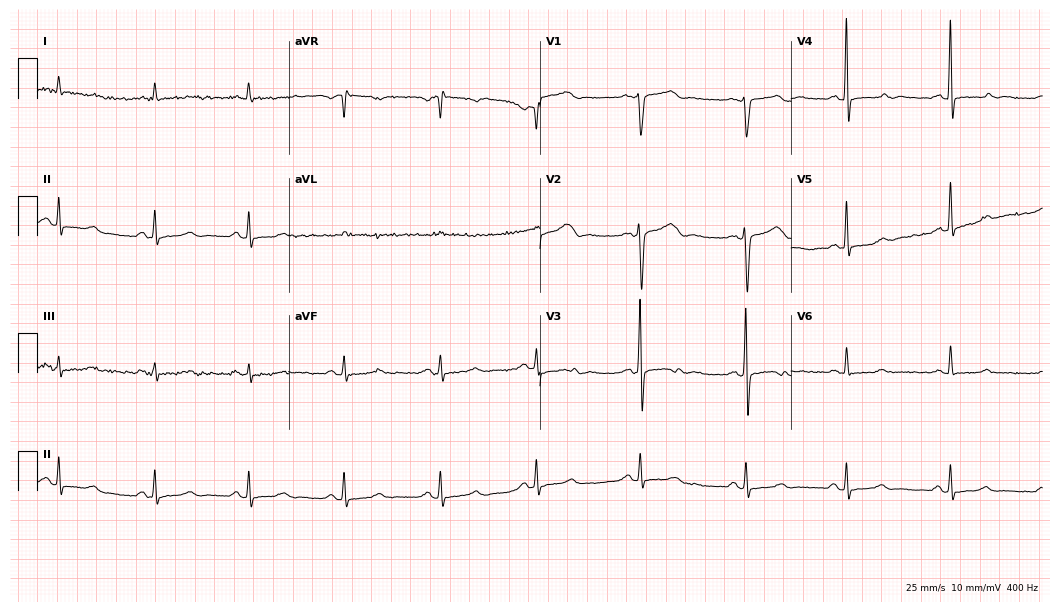
12-lead ECG from a 50-year-old woman. Labelled as a normal ECG.